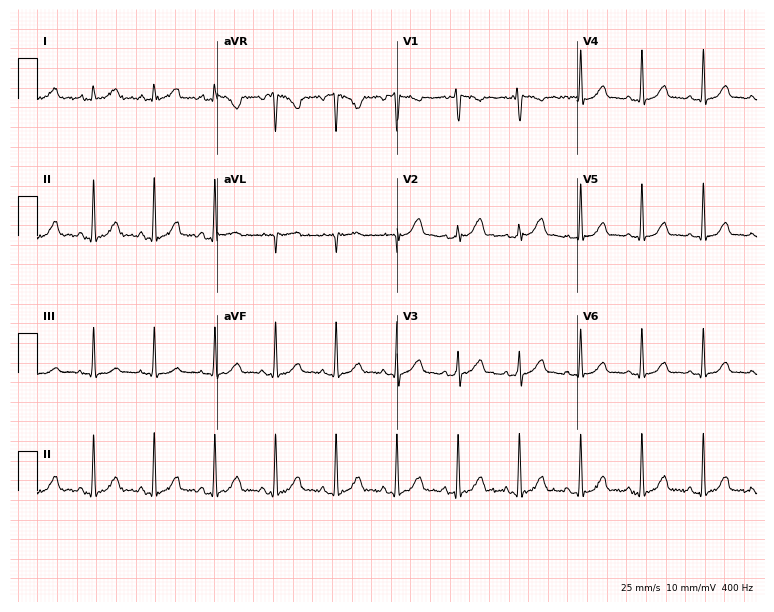
Electrocardiogram, a 67-year-old male patient. Overall reading on record: normal ECG.